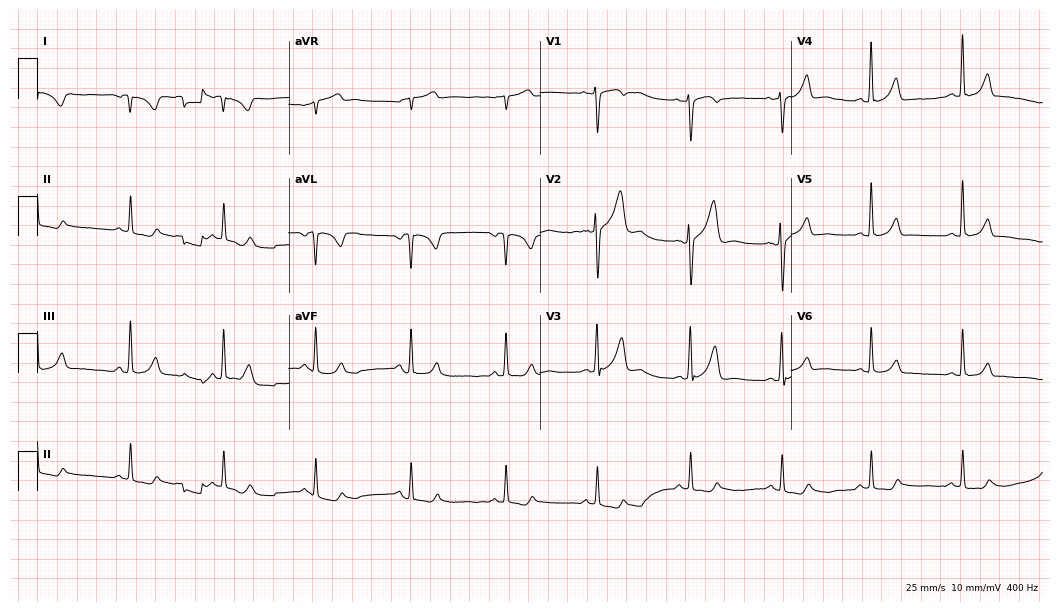
ECG — a 35-year-old male patient. Screened for six findings — first-degree AV block, right bundle branch block (RBBB), left bundle branch block (LBBB), sinus bradycardia, atrial fibrillation (AF), sinus tachycardia — none is recorded. Other findings, if any, are not listed.